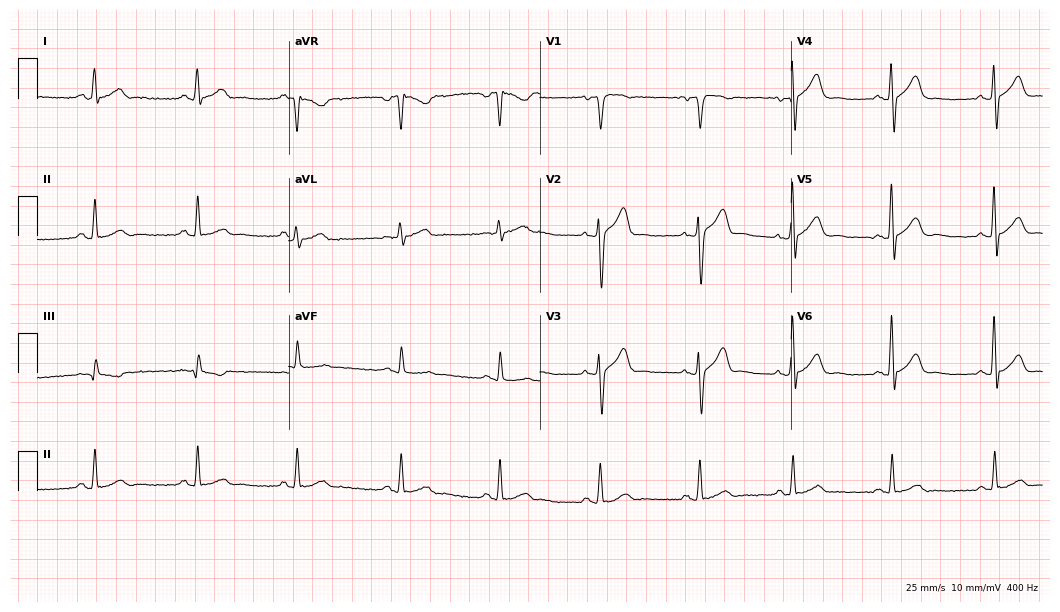
Electrocardiogram, a male patient, 33 years old. Overall reading on record: normal ECG.